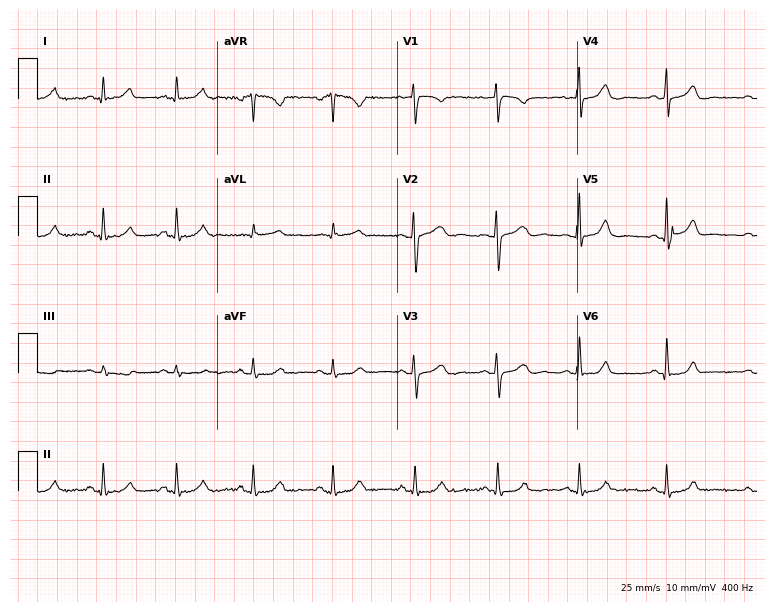
12-lead ECG from a female patient, 33 years old (7.3-second recording at 400 Hz). No first-degree AV block, right bundle branch block, left bundle branch block, sinus bradycardia, atrial fibrillation or sinus tachycardia recorded for this tracing. Only these six findings were labelled.